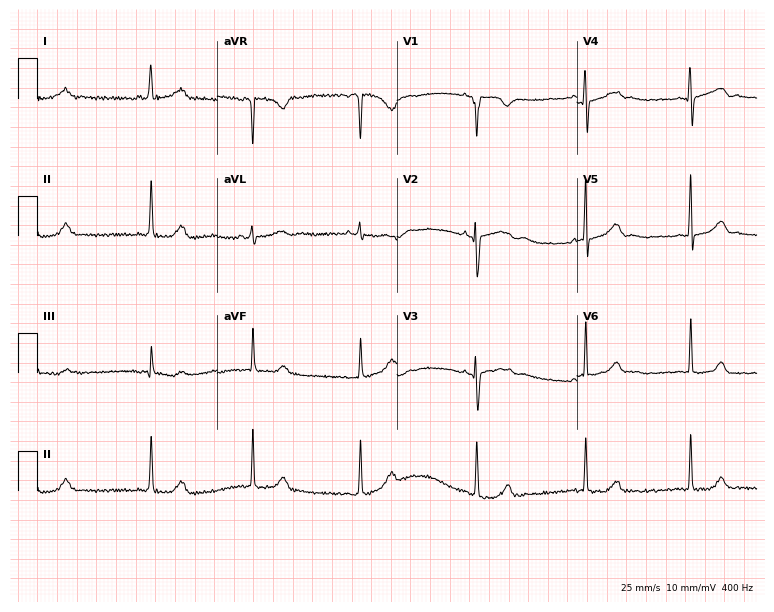
Resting 12-lead electrocardiogram. Patient: a woman, 27 years old. None of these six findings is recorded: first-degree AV block, right bundle branch block, left bundle branch block, sinus bradycardia, atrial fibrillation, sinus tachycardia. Only these six findings were labelled.